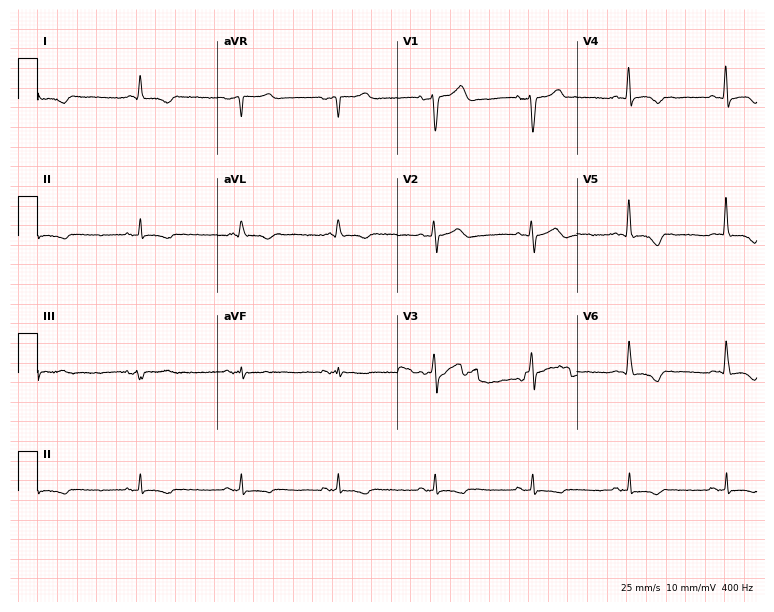
12-lead ECG (7.3-second recording at 400 Hz) from an 83-year-old man. Screened for six findings — first-degree AV block, right bundle branch block, left bundle branch block, sinus bradycardia, atrial fibrillation, sinus tachycardia — none is recorded. Only these six findings were labelled.